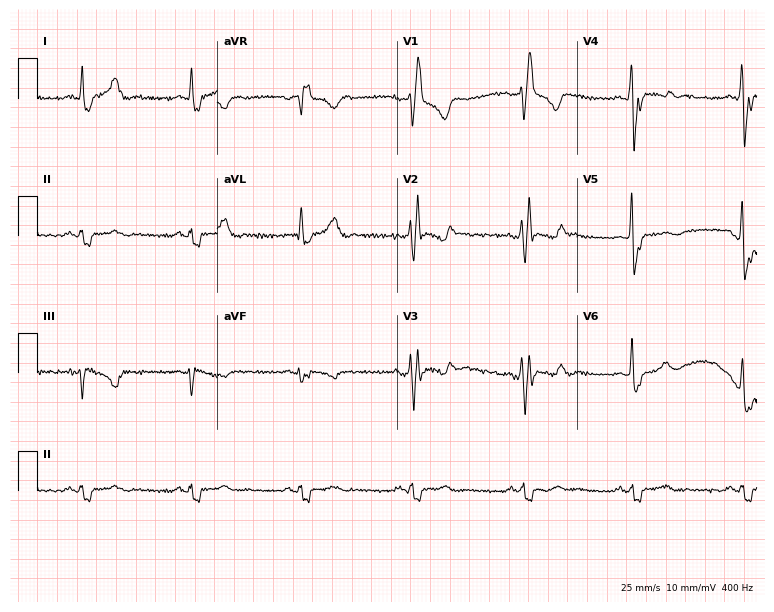
Resting 12-lead electrocardiogram. Patient: a 51-year-old male. The tracing shows right bundle branch block.